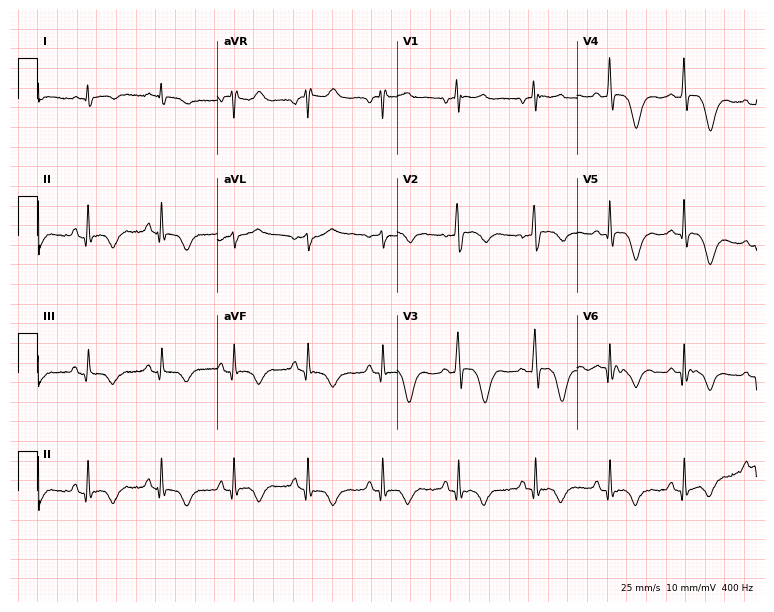
Resting 12-lead electrocardiogram (7.3-second recording at 400 Hz). Patient: a 56-year-old man. None of these six findings is recorded: first-degree AV block, right bundle branch block, left bundle branch block, sinus bradycardia, atrial fibrillation, sinus tachycardia. Only these six findings were labelled.